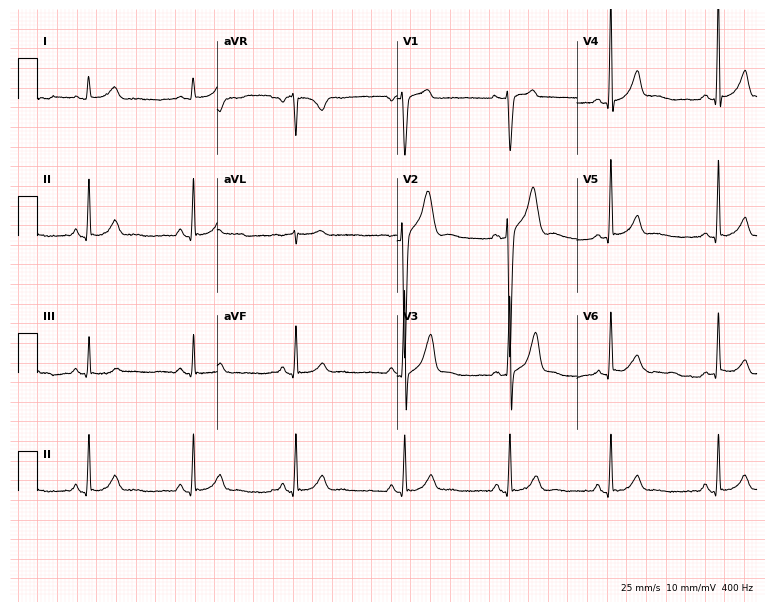
Standard 12-lead ECG recorded from a 46-year-old man. Read as a normal ECG.